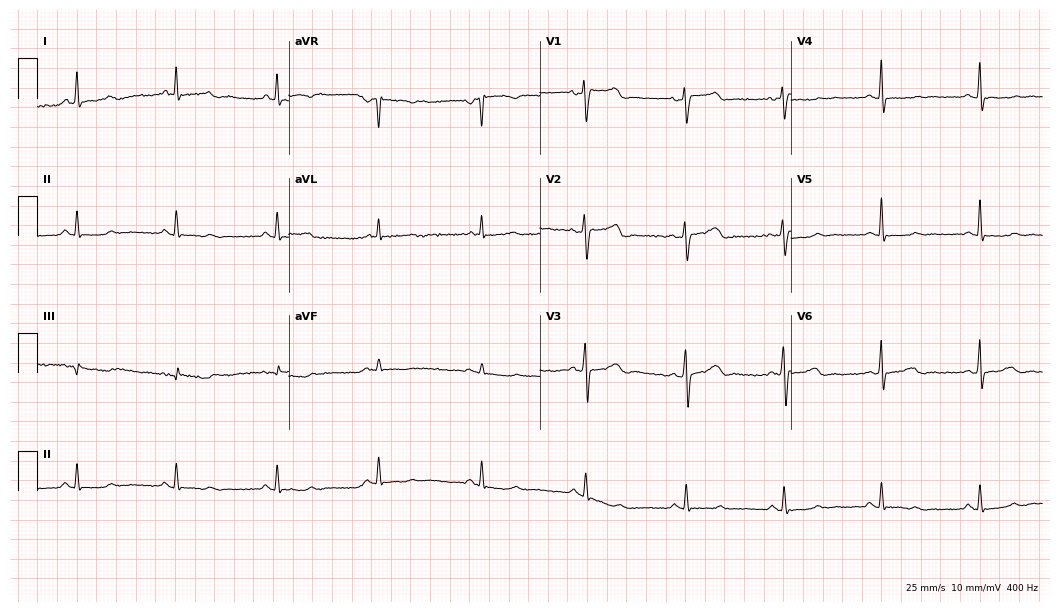
Resting 12-lead electrocardiogram (10.2-second recording at 400 Hz). Patient: a 50-year-old man. None of these six findings is recorded: first-degree AV block, right bundle branch block, left bundle branch block, sinus bradycardia, atrial fibrillation, sinus tachycardia.